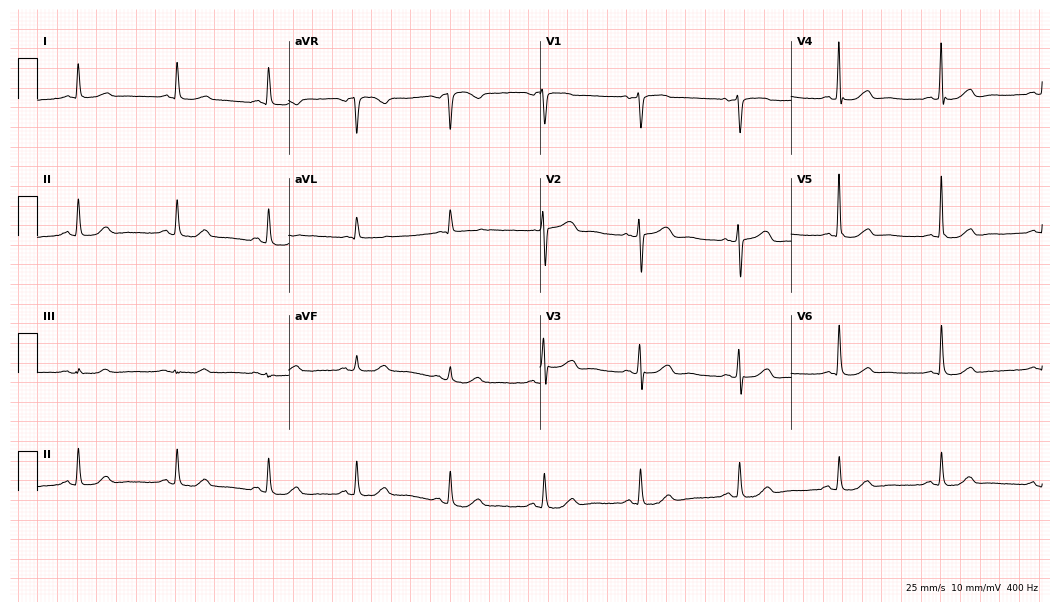
ECG — a 71-year-old woman. Labelled as a normal ECG.